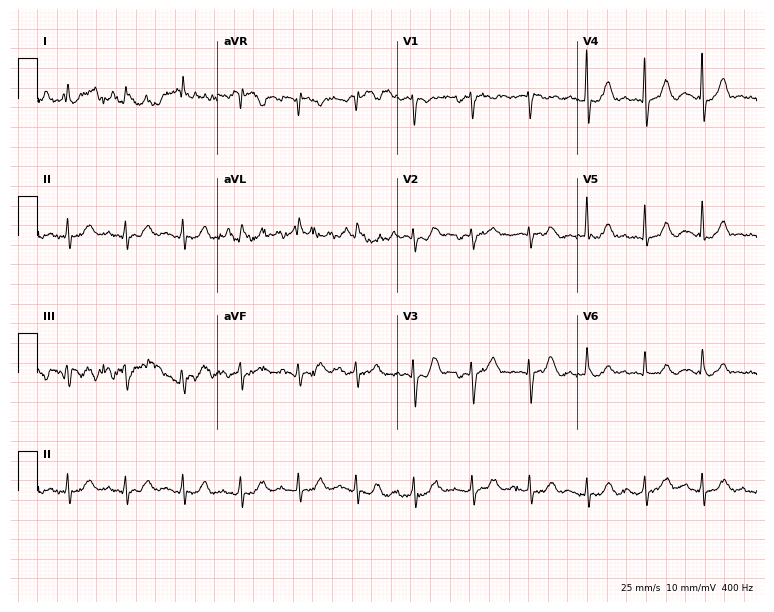
ECG (7.3-second recording at 400 Hz) — an 82-year-old male. Findings include sinus tachycardia (a sinus rate of 100 beats per minute or more).